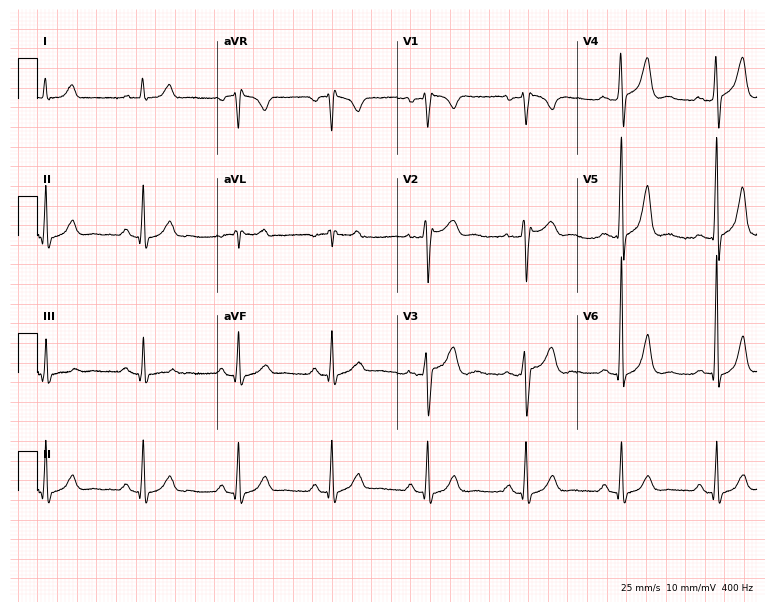
12-lead ECG from a male patient, 48 years old. Screened for six findings — first-degree AV block, right bundle branch block, left bundle branch block, sinus bradycardia, atrial fibrillation, sinus tachycardia — none is recorded.